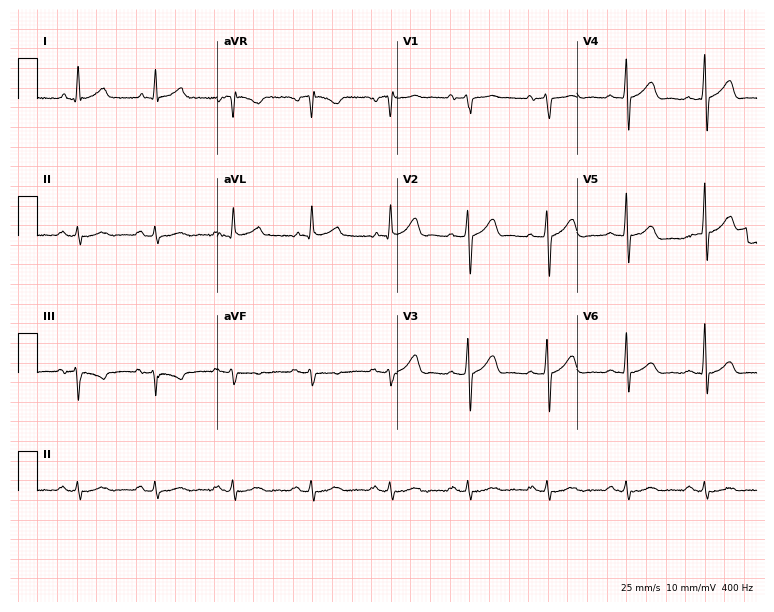
ECG — a male patient, 59 years old. Labelled as a normal ECG.